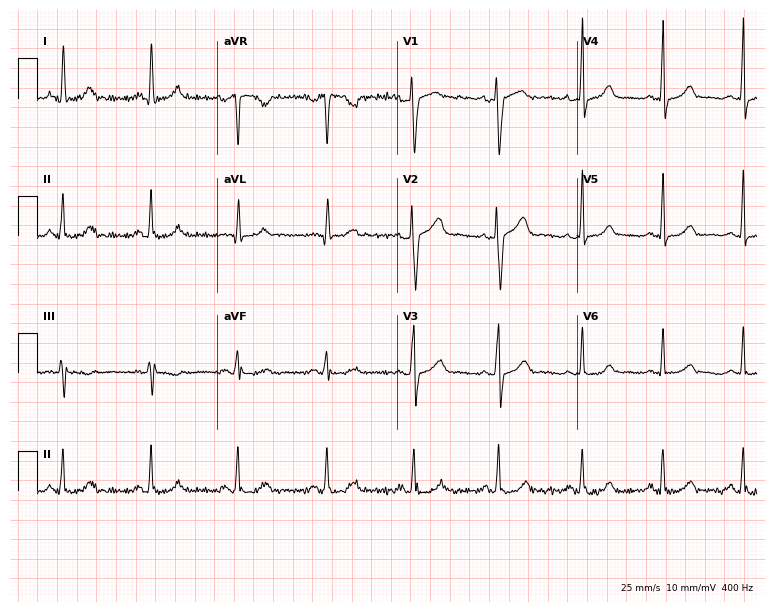
Standard 12-lead ECG recorded from a 34-year-old woman (7.3-second recording at 400 Hz). Read as a normal ECG.